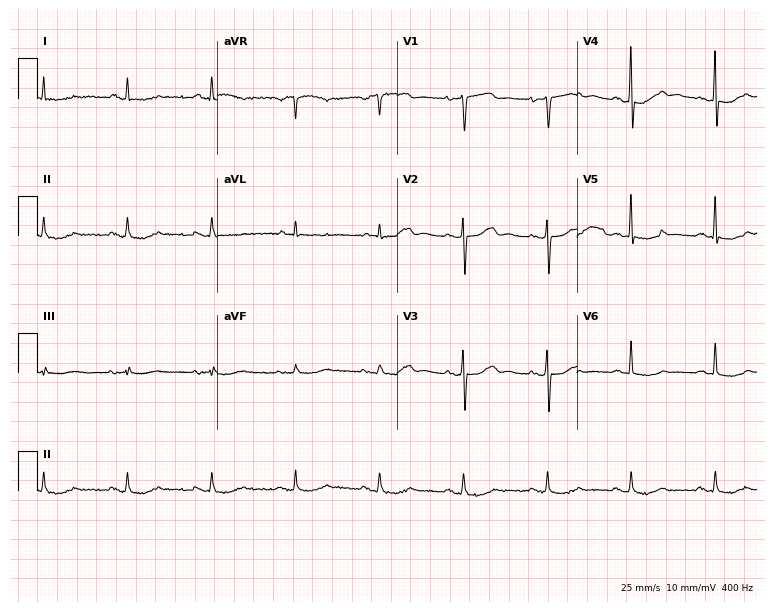
Electrocardiogram, a female, 76 years old. Of the six screened findings (first-degree AV block, right bundle branch block, left bundle branch block, sinus bradycardia, atrial fibrillation, sinus tachycardia), none is recorded.